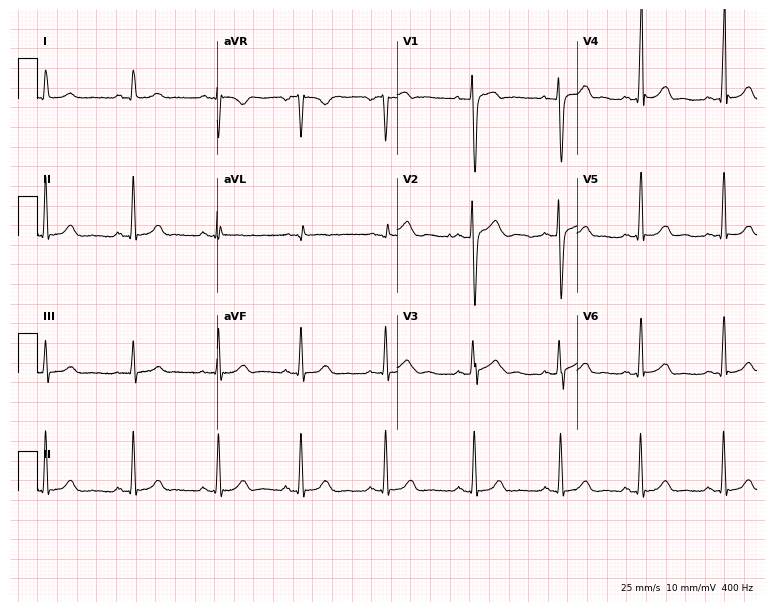
12-lead ECG (7.3-second recording at 400 Hz) from a 33-year-old female. Labelled as a normal ECG.